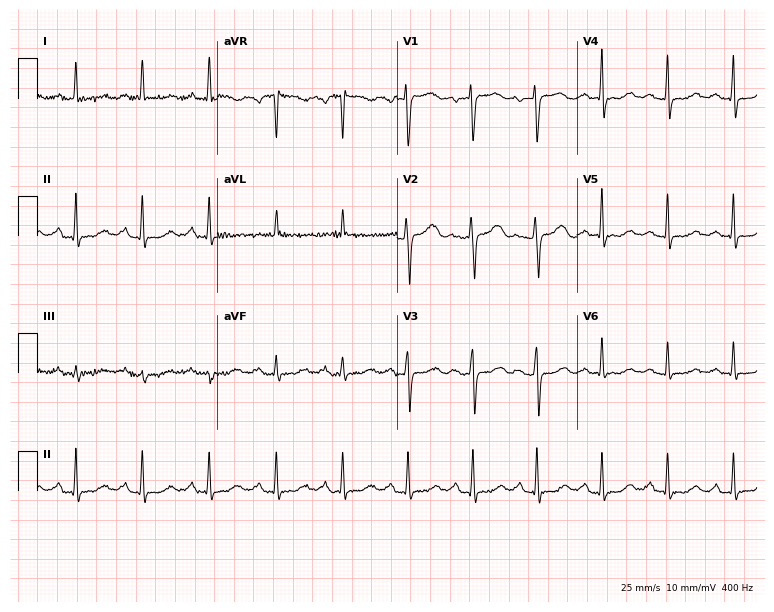
12-lead ECG (7.3-second recording at 400 Hz) from a 66-year-old female patient. Labelled as a normal ECG.